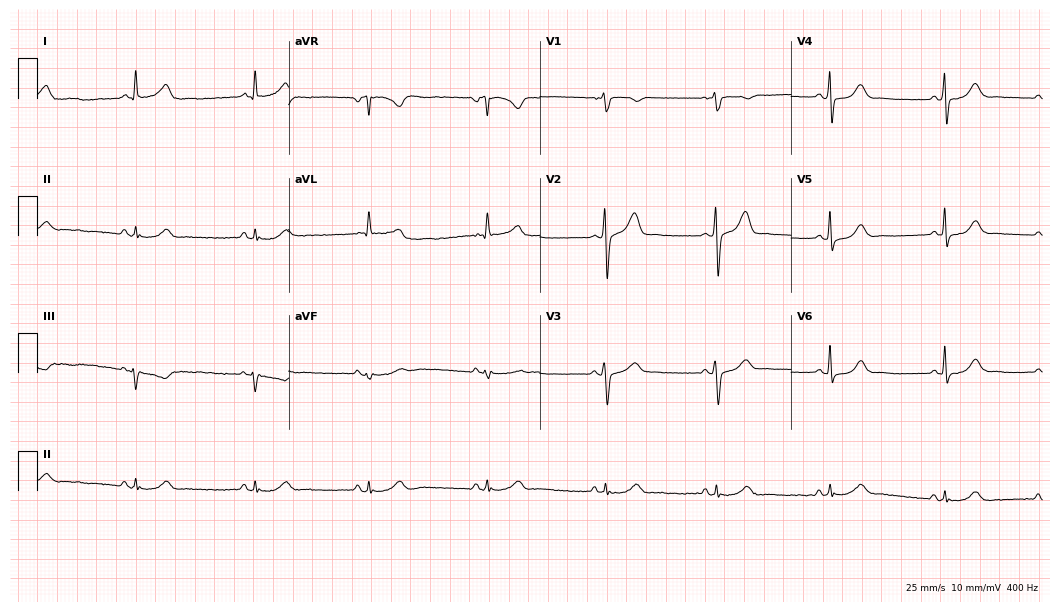
Standard 12-lead ECG recorded from a 48-year-old male (10.2-second recording at 400 Hz). Read as a normal ECG.